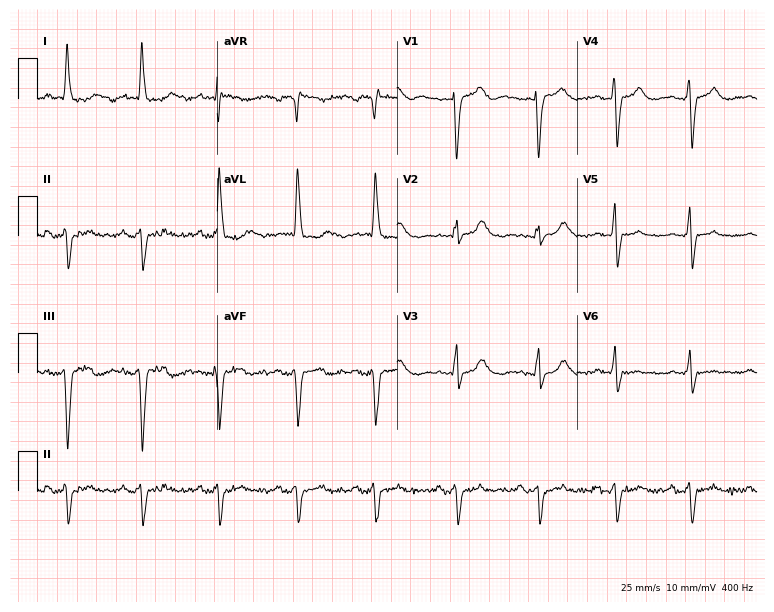
Resting 12-lead electrocardiogram (7.3-second recording at 400 Hz). Patient: a female, 72 years old. None of these six findings is recorded: first-degree AV block, right bundle branch block, left bundle branch block, sinus bradycardia, atrial fibrillation, sinus tachycardia.